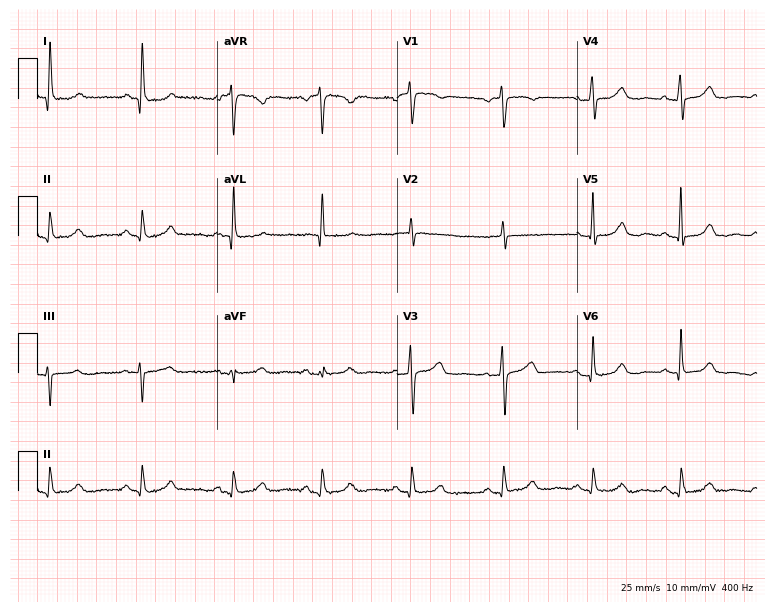
Electrocardiogram (7.3-second recording at 400 Hz), a 78-year-old female. Overall reading on record: normal ECG.